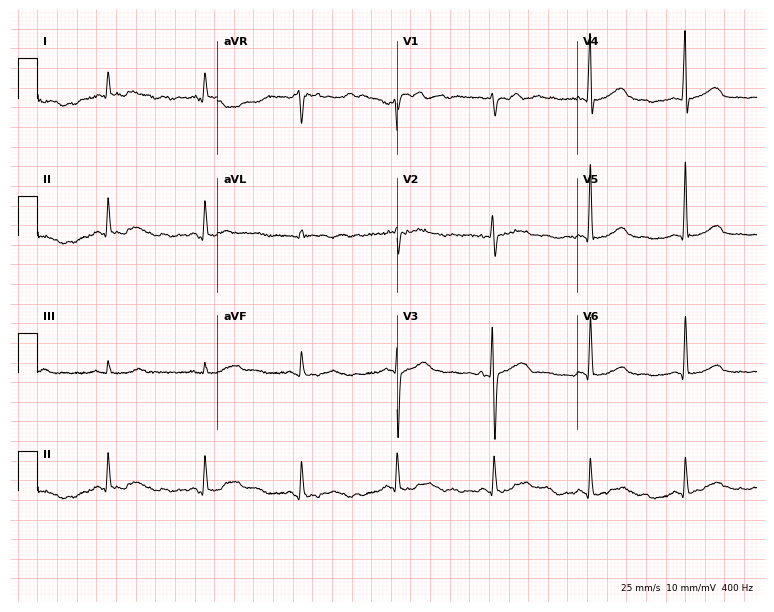
Standard 12-lead ECG recorded from a woman, 73 years old. Read as a normal ECG.